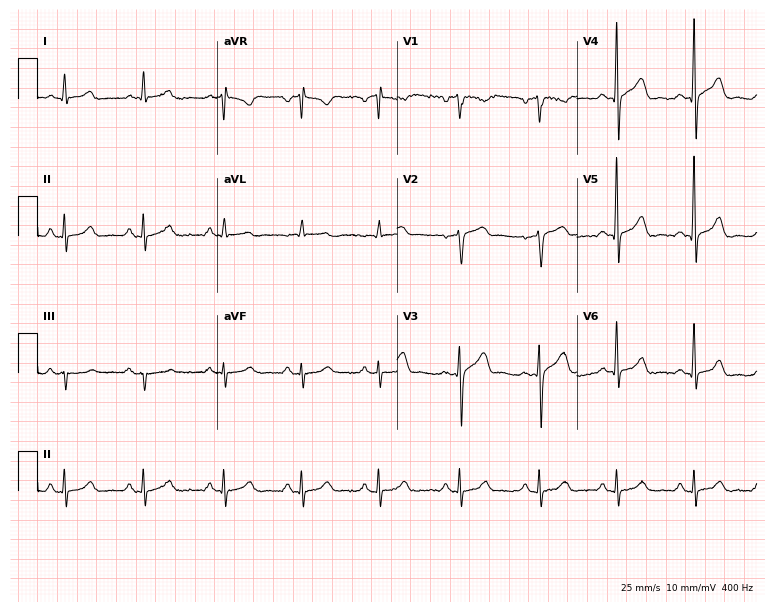
Electrocardiogram (7.3-second recording at 400 Hz), a 64-year-old male patient. Of the six screened findings (first-degree AV block, right bundle branch block, left bundle branch block, sinus bradycardia, atrial fibrillation, sinus tachycardia), none is recorded. Findings outside these six are not listed.